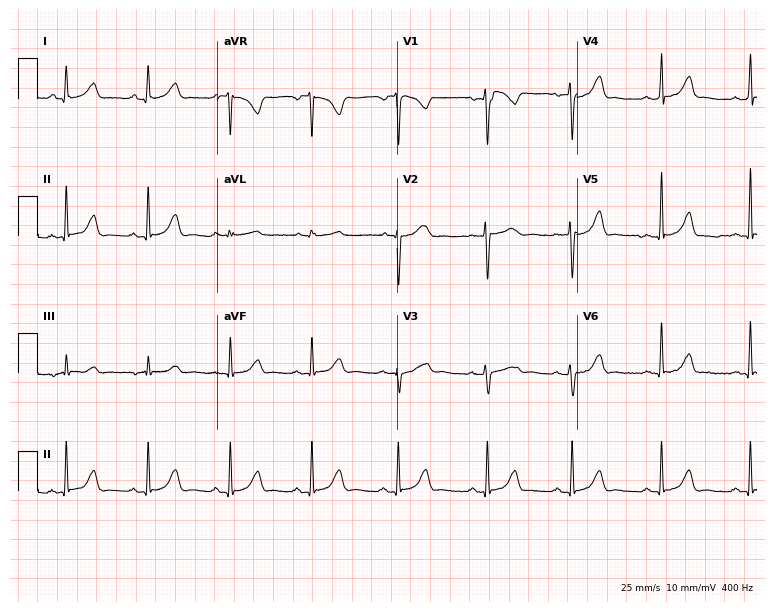
ECG — a 31-year-old female patient. Labelled as a normal ECG.